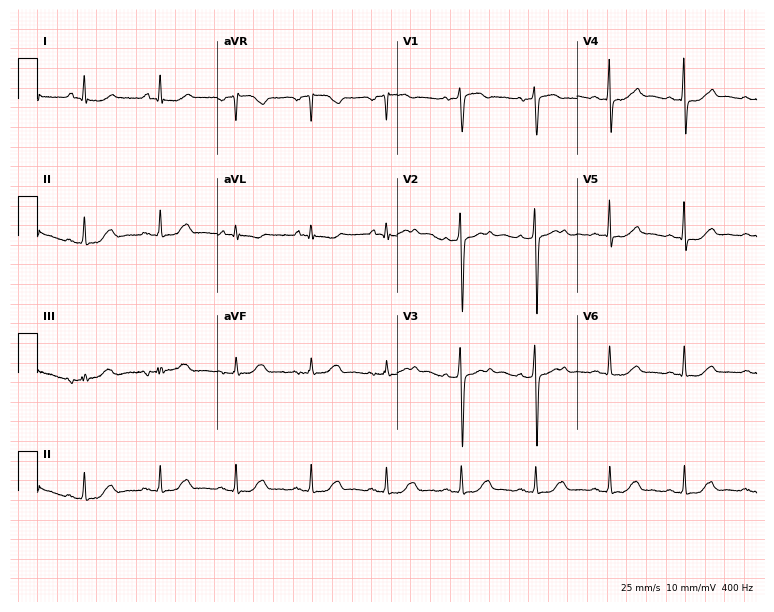
12-lead ECG (7.3-second recording at 400 Hz) from a 57-year-old female. Labelled as a normal ECG.